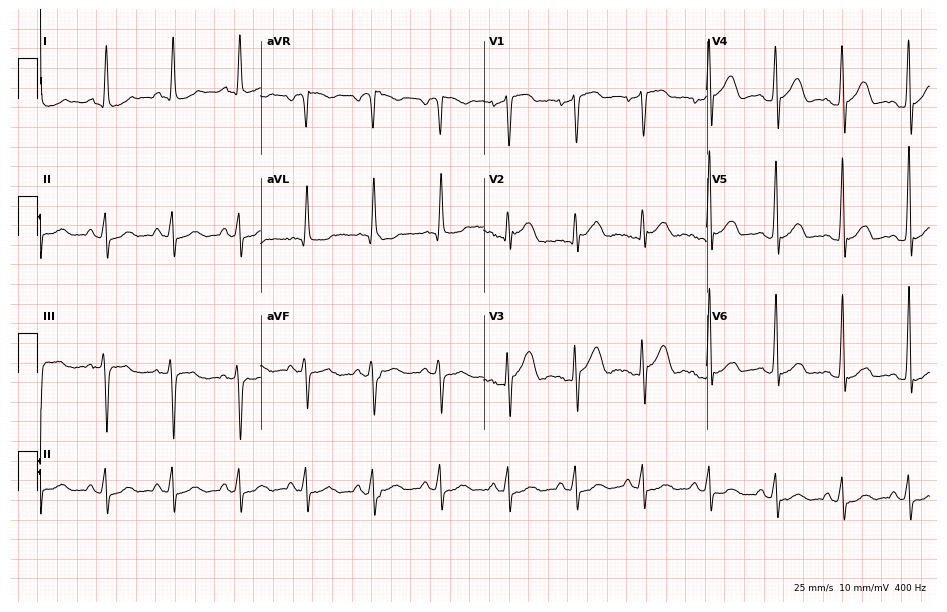
12-lead ECG from a 42-year-old man. Screened for six findings — first-degree AV block, right bundle branch block, left bundle branch block, sinus bradycardia, atrial fibrillation, sinus tachycardia — none is recorded.